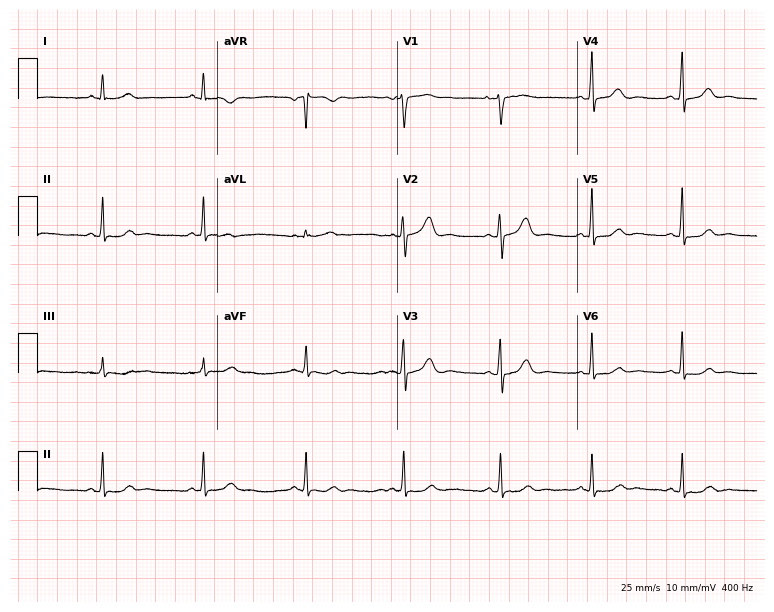
12-lead ECG from a 52-year-old female patient. Screened for six findings — first-degree AV block, right bundle branch block, left bundle branch block, sinus bradycardia, atrial fibrillation, sinus tachycardia — none is recorded.